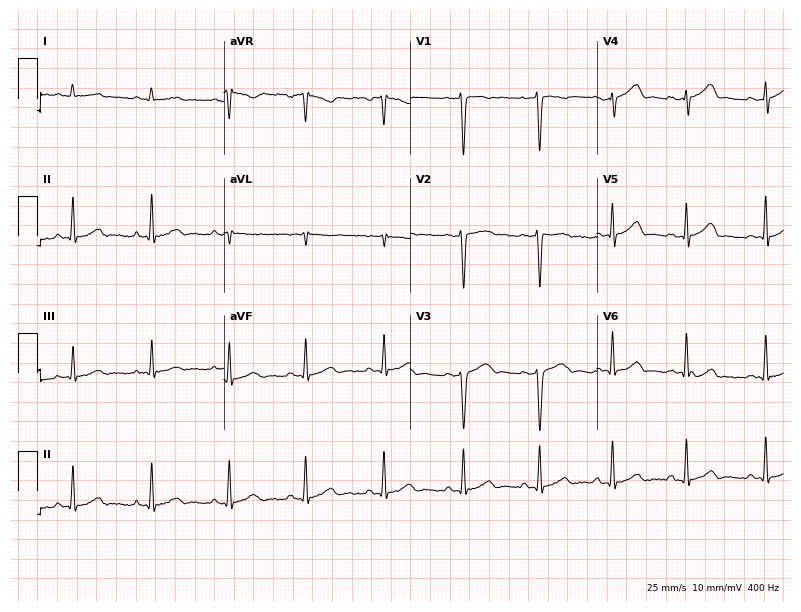
ECG (7.6-second recording at 400 Hz) — a 32-year-old man. Labelled as a normal ECG.